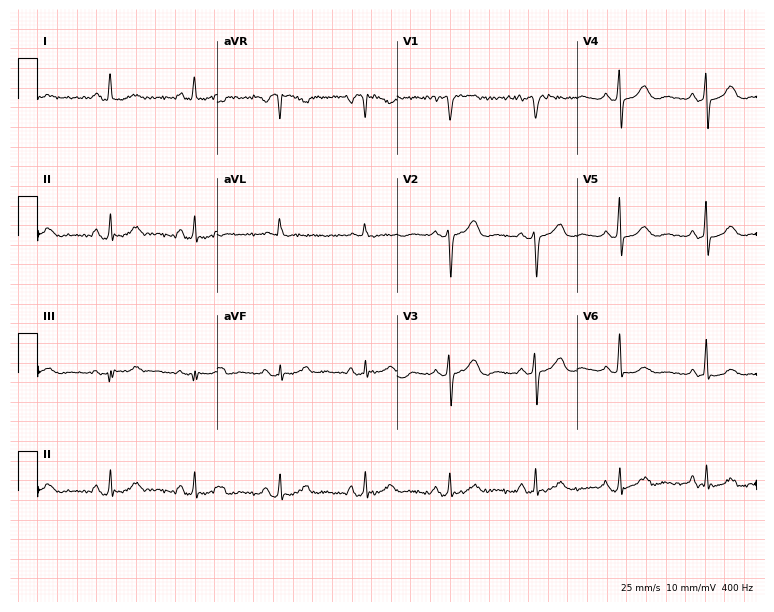
12-lead ECG (7.3-second recording at 400 Hz) from a female, 58 years old. Screened for six findings — first-degree AV block, right bundle branch block (RBBB), left bundle branch block (LBBB), sinus bradycardia, atrial fibrillation (AF), sinus tachycardia — none is recorded. Findings outside these six are not listed.